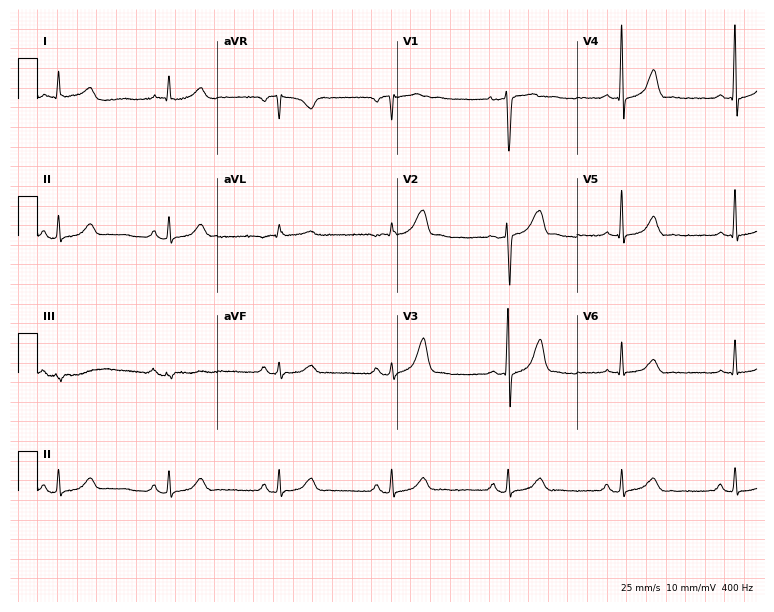
ECG (7.3-second recording at 400 Hz) — a male patient, 53 years old. Screened for six findings — first-degree AV block, right bundle branch block, left bundle branch block, sinus bradycardia, atrial fibrillation, sinus tachycardia — none is recorded. Other findings, if any, are not listed.